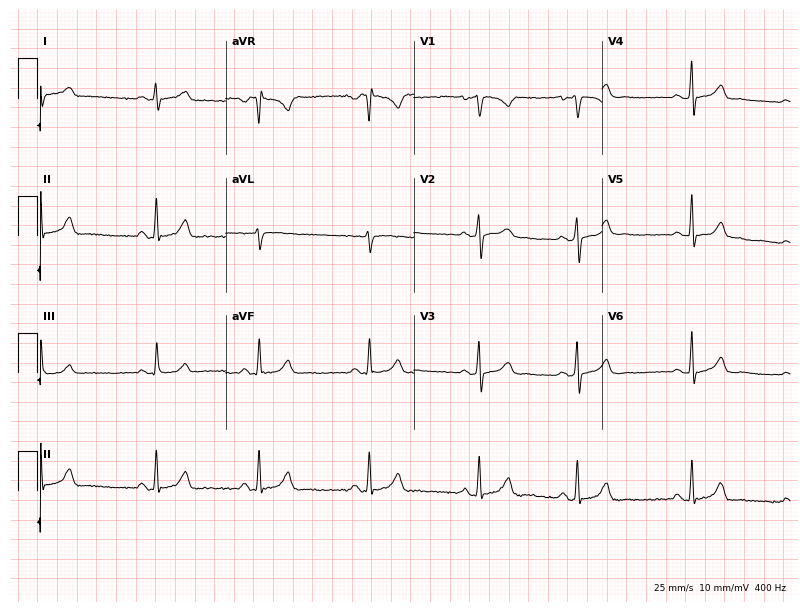
12-lead ECG (7.7-second recording at 400 Hz) from a female patient, 22 years old. Labelled as a normal ECG.